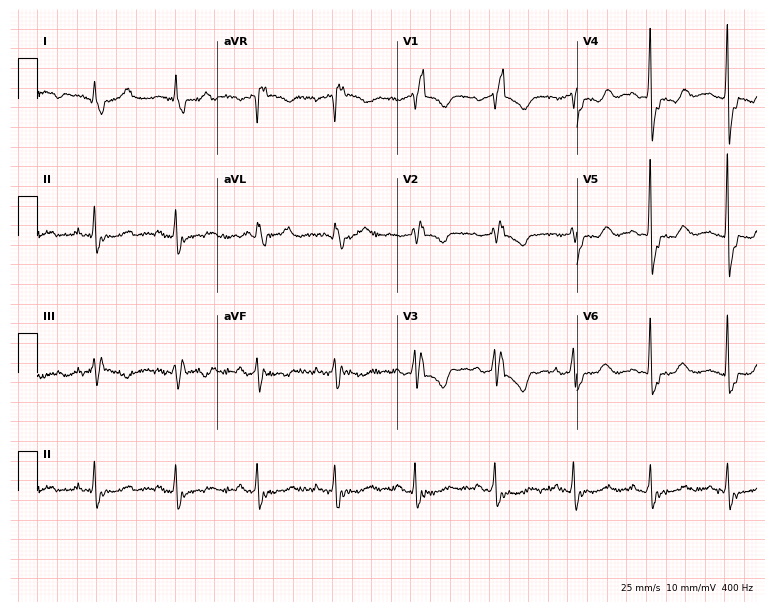
12-lead ECG from a 79-year-old female. Shows right bundle branch block (RBBB).